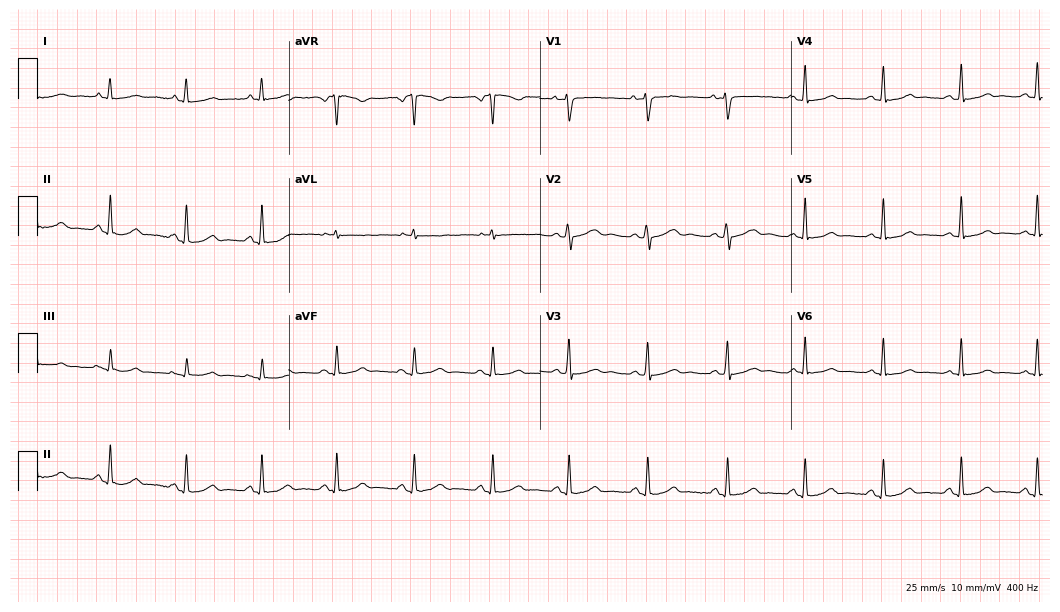
12-lead ECG from a woman, 40 years old. No first-degree AV block, right bundle branch block (RBBB), left bundle branch block (LBBB), sinus bradycardia, atrial fibrillation (AF) or sinus tachycardia recorded for this tracing.